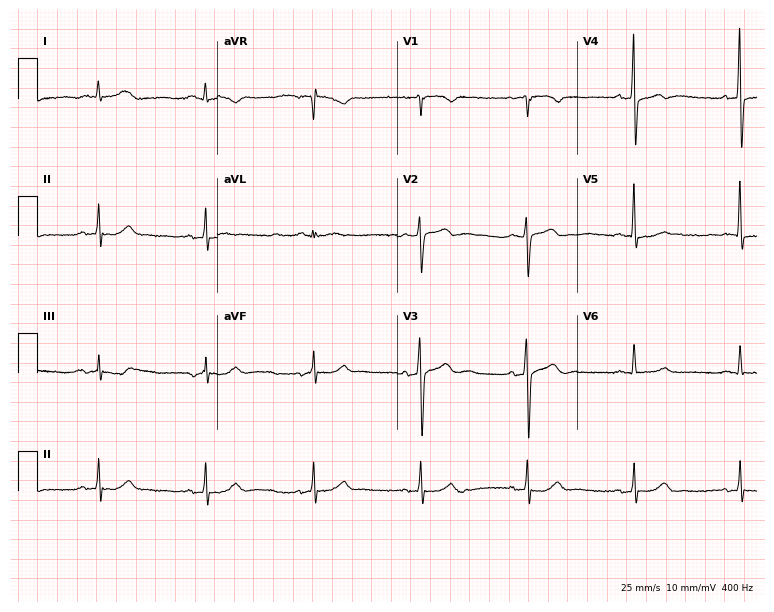
Standard 12-lead ECG recorded from a male, 74 years old (7.3-second recording at 400 Hz). None of these six findings is recorded: first-degree AV block, right bundle branch block (RBBB), left bundle branch block (LBBB), sinus bradycardia, atrial fibrillation (AF), sinus tachycardia.